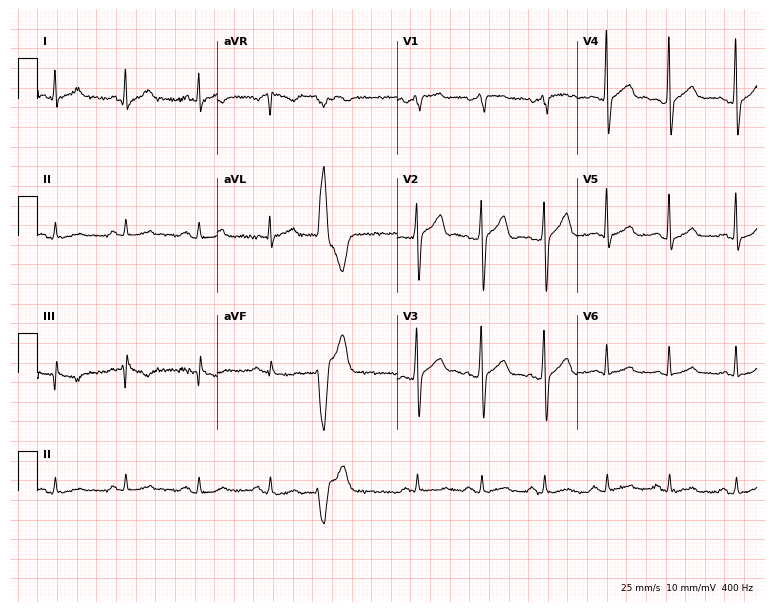
12-lead ECG from a male, 40 years old. No first-degree AV block, right bundle branch block (RBBB), left bundle branch block (LBBB), sinus bradycardia, atrial fibrillation (AF) or sinus tachycardia recorded for this tracing. Findings outside these six are not listed.